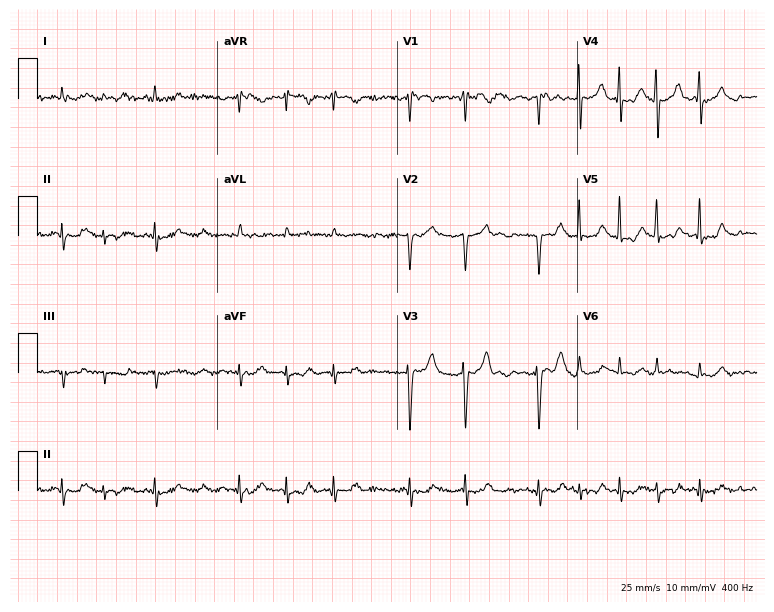
ECG — a female patient, 77 years old. Findings include atrial fibrillation.